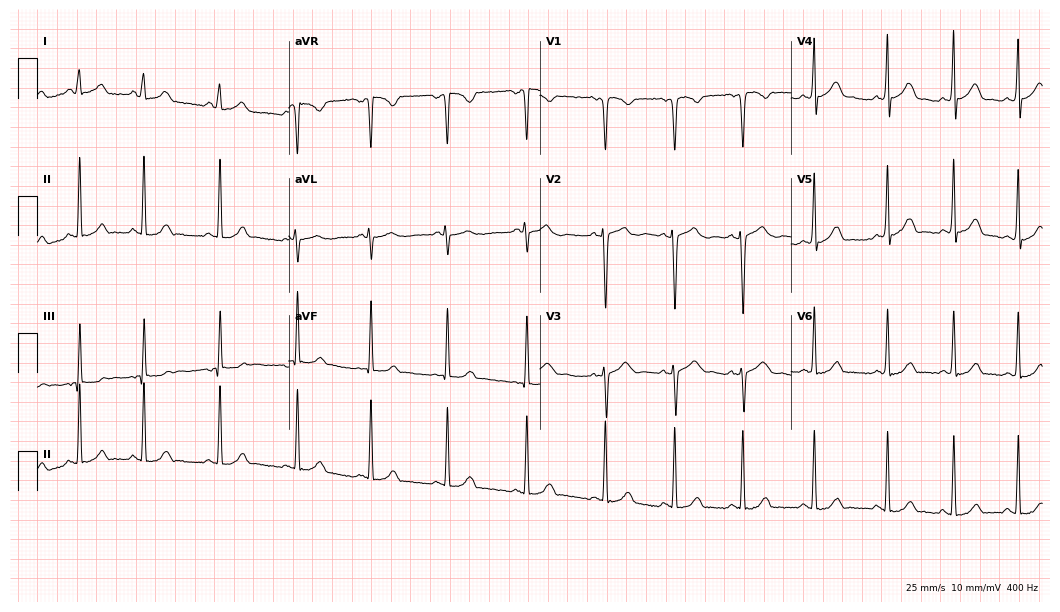
Resting 12-lead electrocardiogram (10.2-second recording at 400 Hz). Patient: a 21-year-old female. Read as a normal ECG.